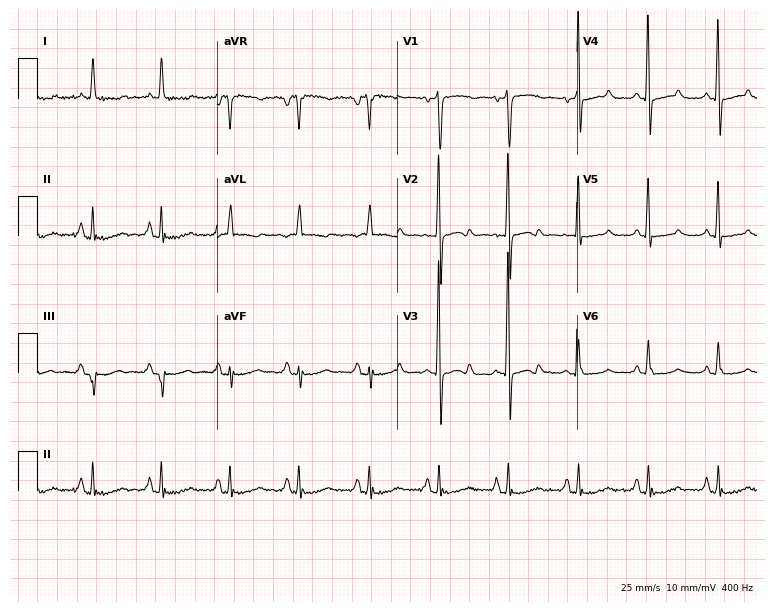
Electrocardiogram (7.3-second recording at 400 Hz), a woman, 52 years old. Of the six screened findings (first-degree AV block, right bundle branch block, left bundle branch block, sinus bradycardia, atrial fibrillation, sinus tachycardia), none is recorded. Findings outside these six are not listed.